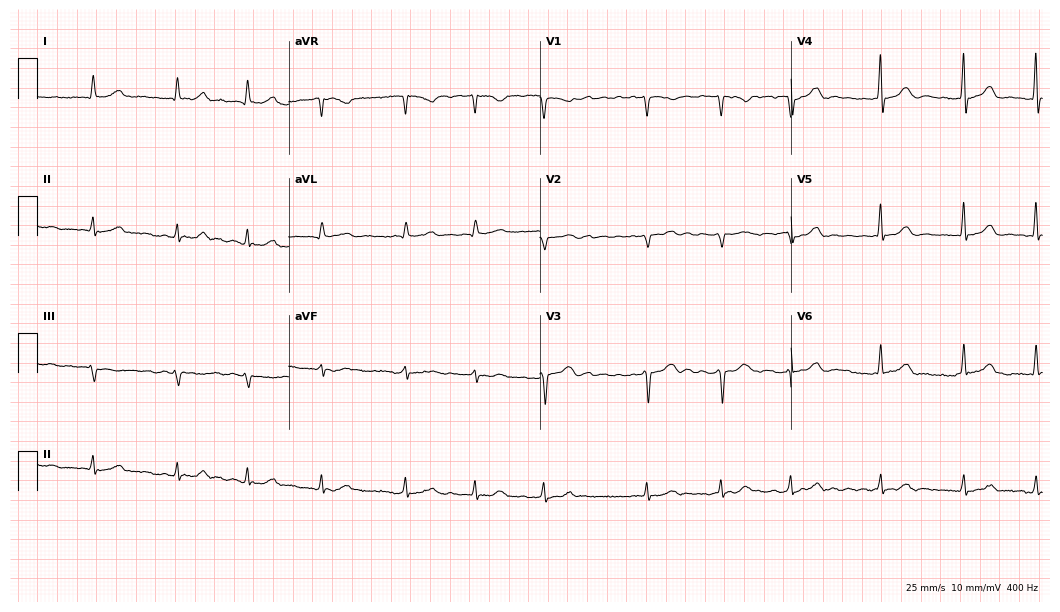
12-lead ECG from a 79-year-old woman. Findings include atrial fibrillation.